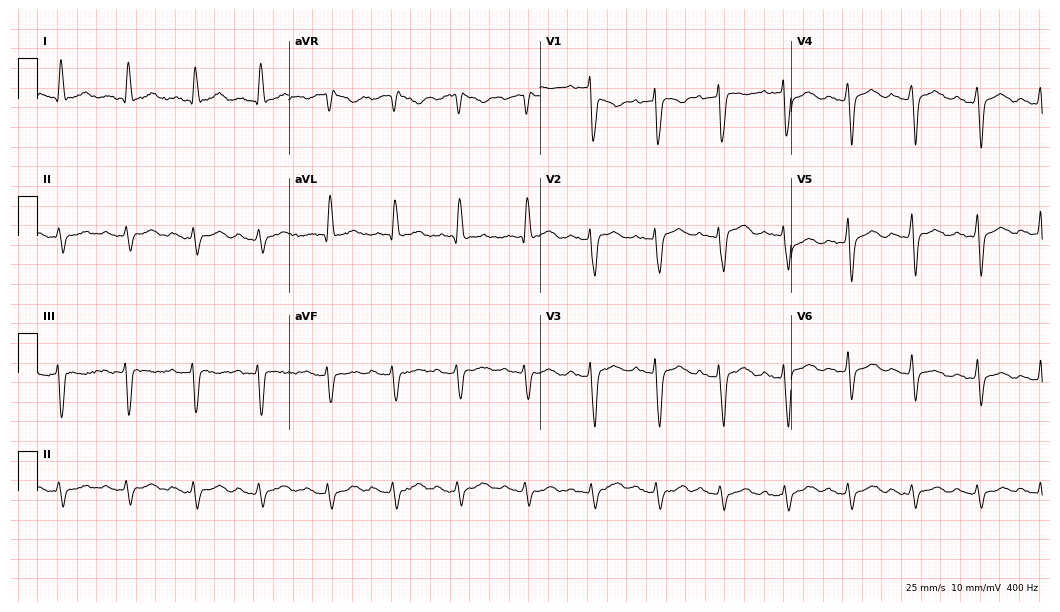
Electrocardiogram, a male patient, 37 years old. Interpretation includes first-degree AV block.